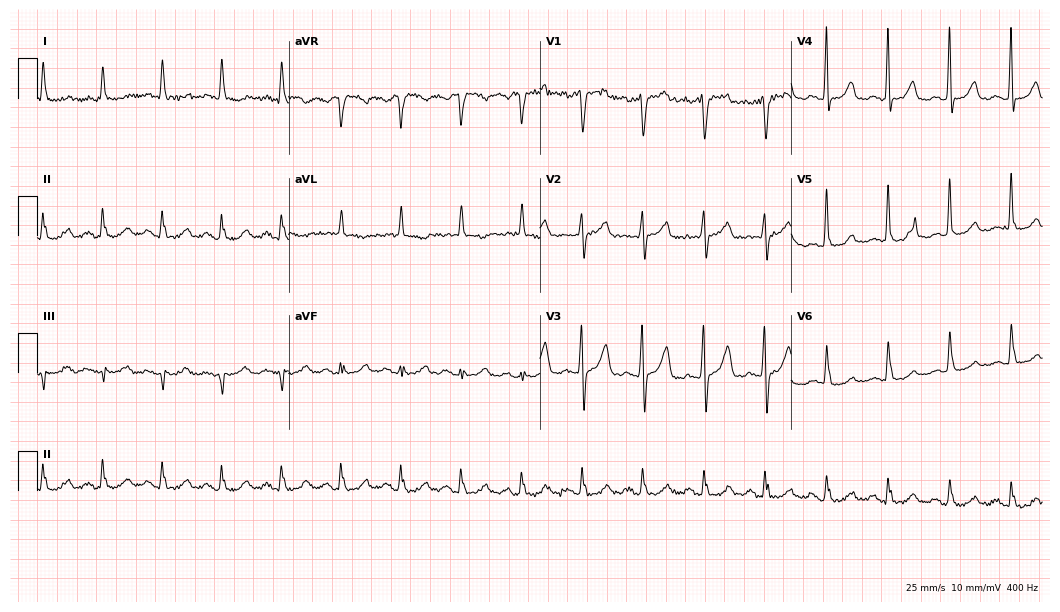
12-lead ECG from a female patient, 67 years old. Screened for six findings — first-degree AV block, right bundle branch block, left bundle branch block, sinus bradycardia, atrial fibrillation, sinus tachycardia — none is recorded. Findings outside these six are not listed.